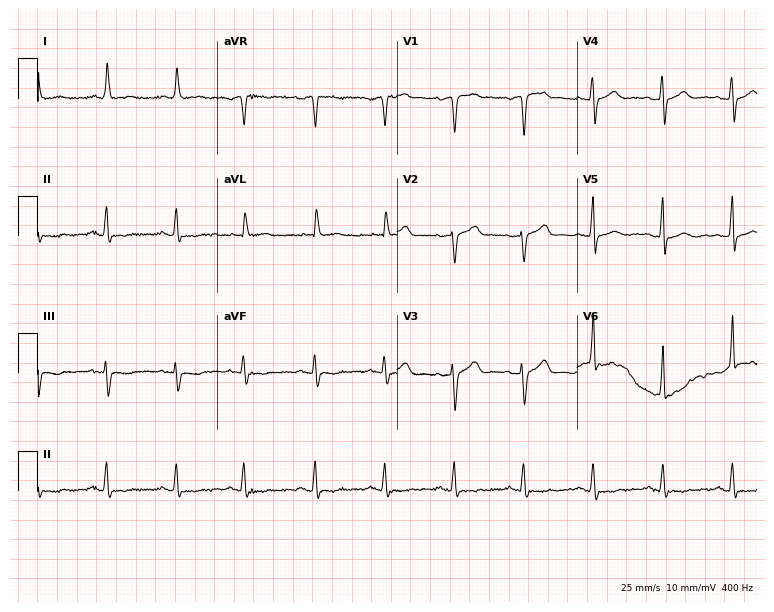
Standard 12-lead ECG recorded from a man, 78 years old (7.3-second recording at 400 Hz). None of these six findings is recorded: first-degree AV block, right bundle branch block, left bundle branch block, sinus bradycardia, atrial fibrillation, sinus tachycardia. Findings outside these six are not listed.